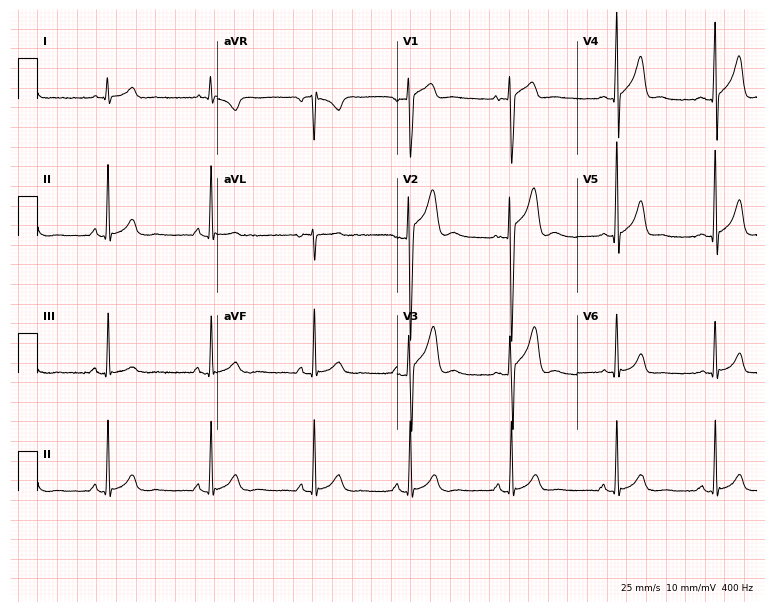
Resting 12-lead electrocardiogram. Patient: a male, 22 years old. None of these six findings is recorded: first-degree AV block, right bundle branch block (RBBB), left bundle branch block (LBBB), sinus bradycardia, atrial fibrillation (AF), sinus tachycardia.